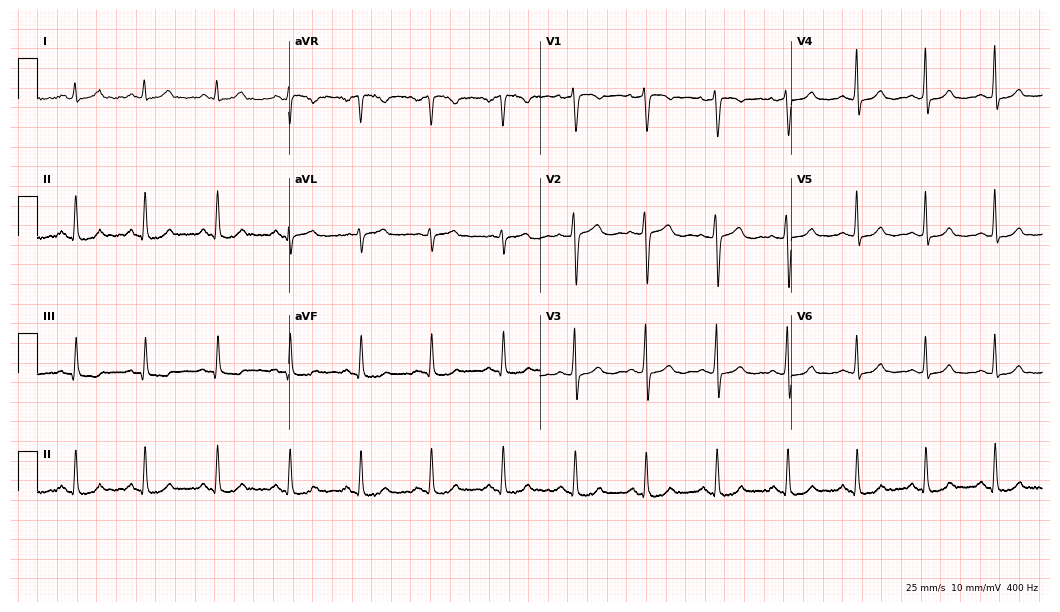
Resting 12-lead electrocardiogram. Patient: a 51-year-old woman. Read as a normal ECG.